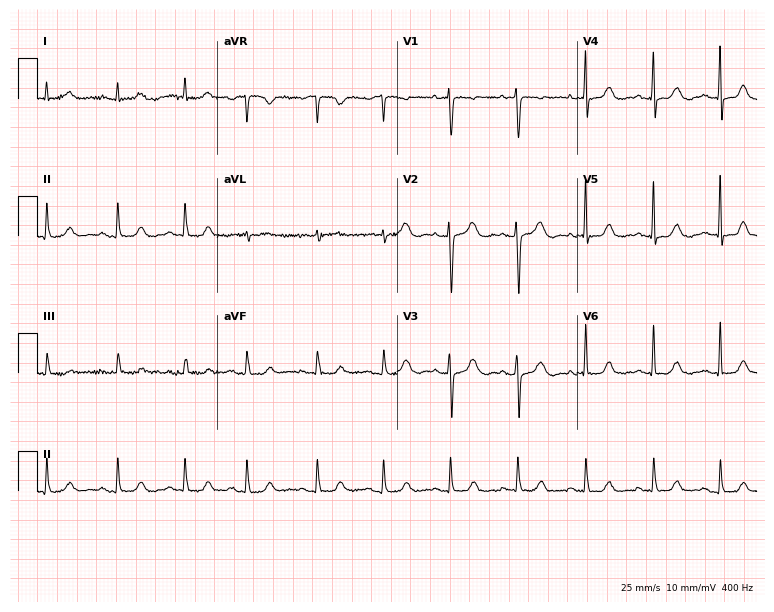
12-lead ECG from a female patient, 72 years old. Labelled as a normal ECG.